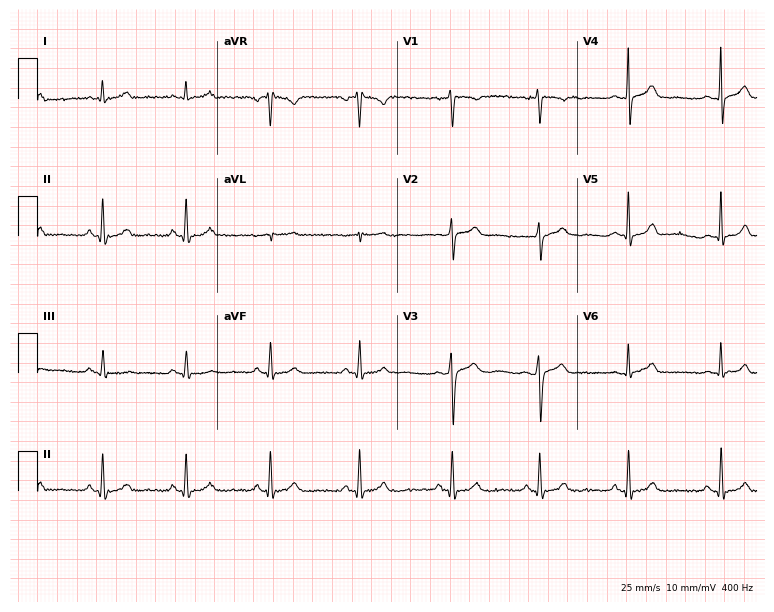
12-lead ECG from a 33-year-old woman. Labelled as a normal ECG.